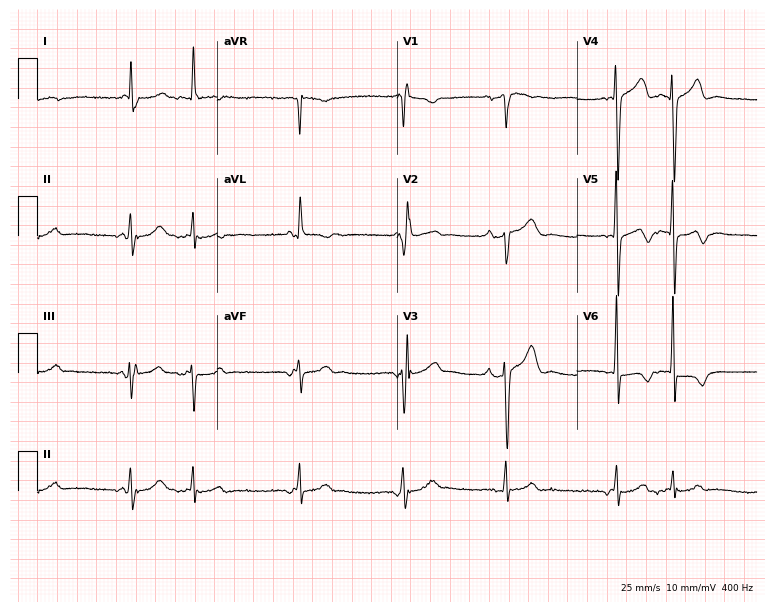
Electrocardiogram, an 84-year-old female patient. Of the six screened findings (first-degree AV block, right bundle branch block, left bundle branch block, sinus bradycardia, atrial fibrillation, sinus tachycardia), none is recorded.